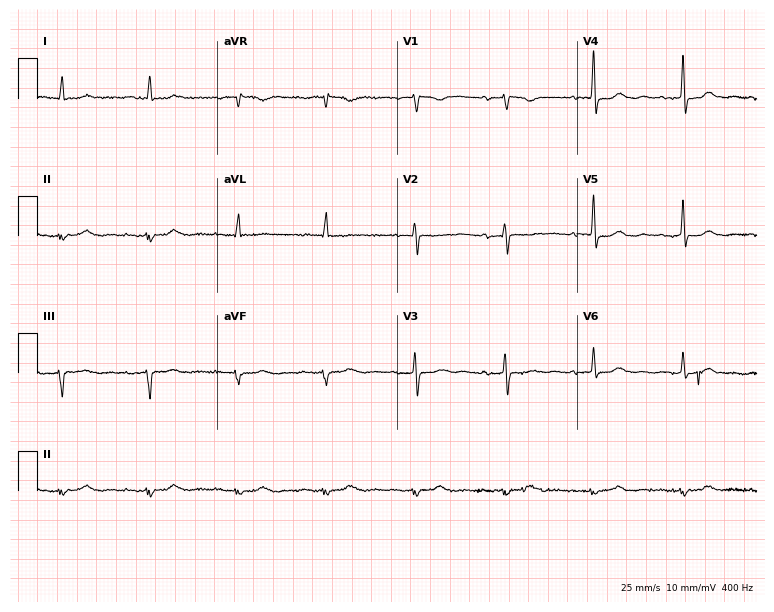
12-lead ECG from a female, 76 years old. No first-degree AV block, right bundle branch block, left bundle branch block, sinus bradycardia, atrial fibrillation or sinus tachycardia recorded for this tracing.